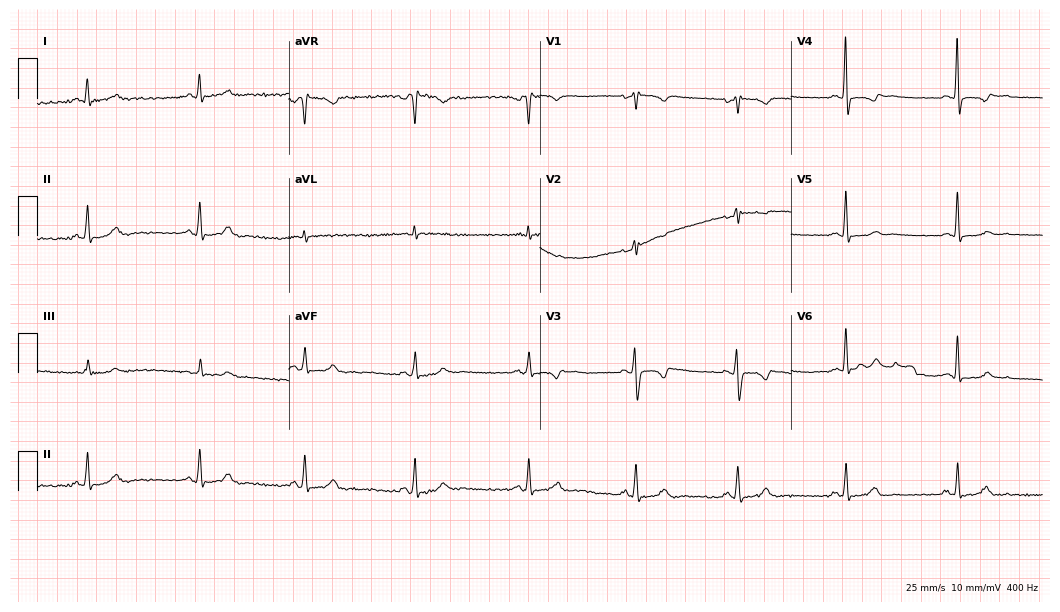
12-lead ECG from a 35-year-old woman. No first-degree AV block, right bundle branch block (RBBB), left bundle branch block (LBBB), sinus bradycardia, atrial fibrillation (AF) or sinus tachycardia recorded for this tracing.